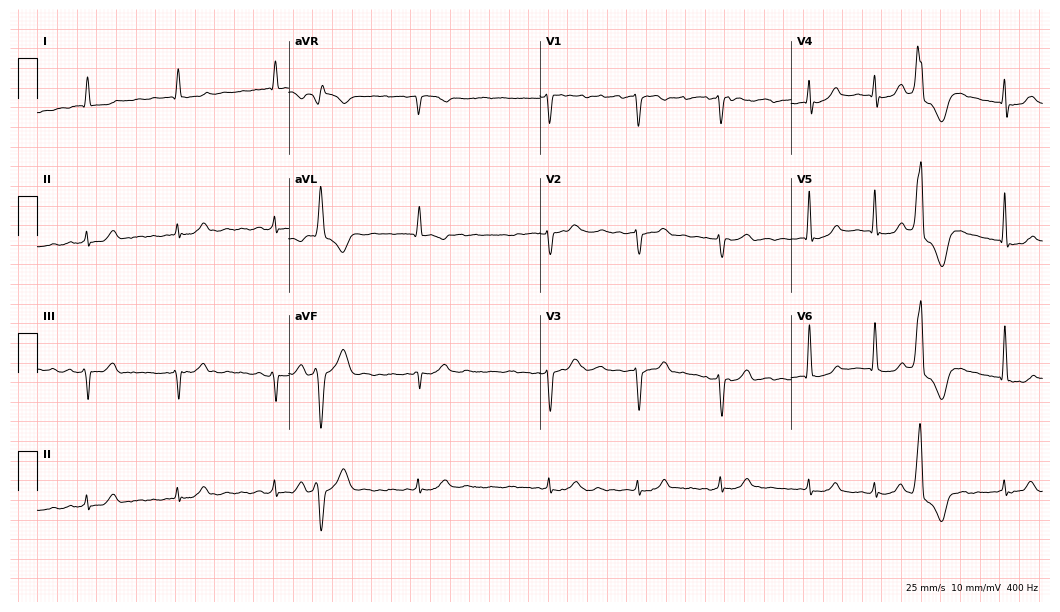
12-lead ECG from an 87-year-old female (10.2-second recording at 400 Hz). Shows atrial fibrillation.